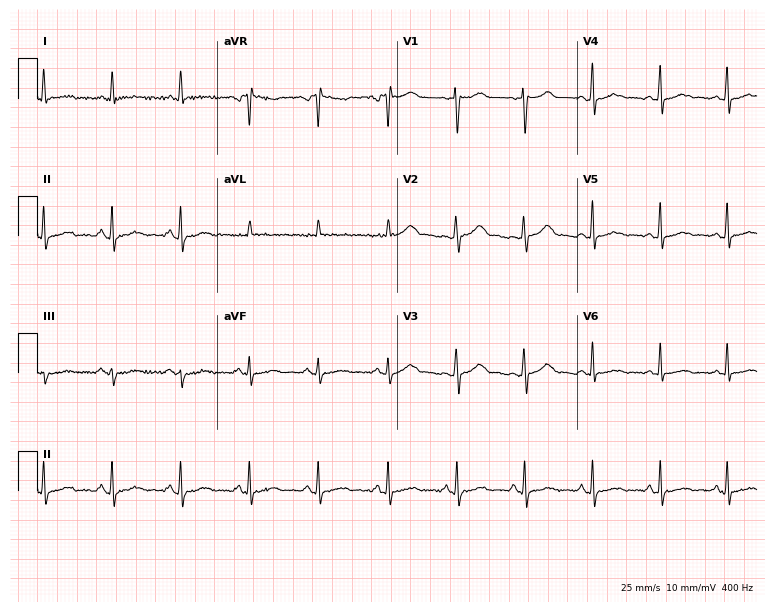
Standard 12-lead ECG recorded from a 33-year-old female (7.3-second recording at 400 Hz). None of these six findings is recorded: first-degree AV block, right bundle branch block, left bundle branch block, sinus bradycardia, atrial fibrillation, sinus tachycardia.